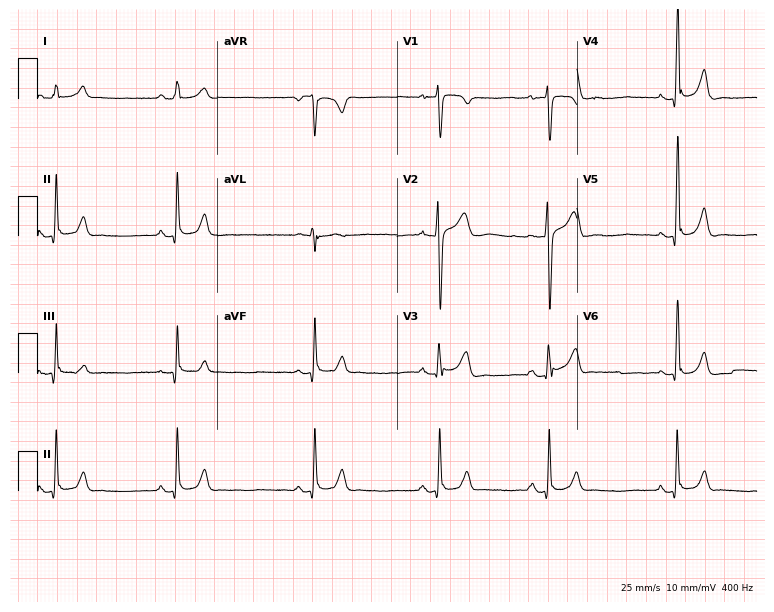
Electrocardiogram (7.3-second recording at 400 Hz), a 21-year-old man. Interpretation includes sinus bradycardia (a sinus rate of 50 beats per minute or less).